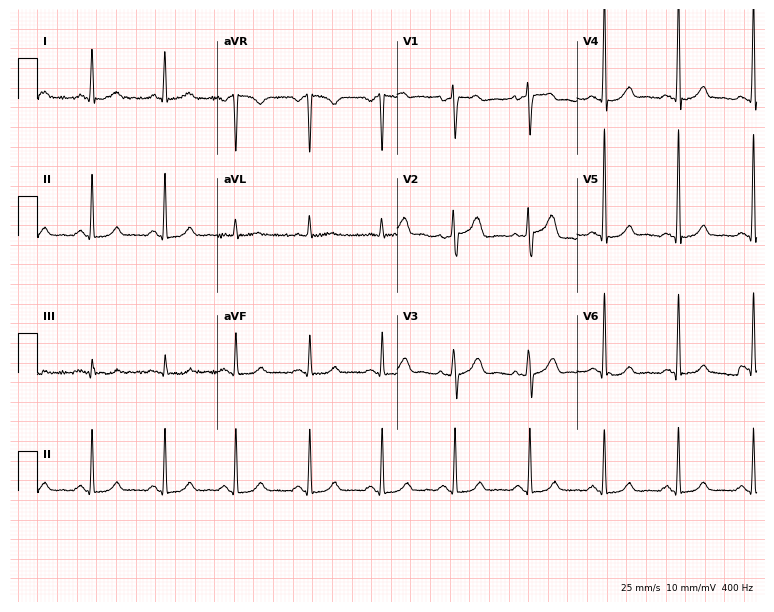
ECG — a 45-year-old female patient. Labelled as a normal ECG.